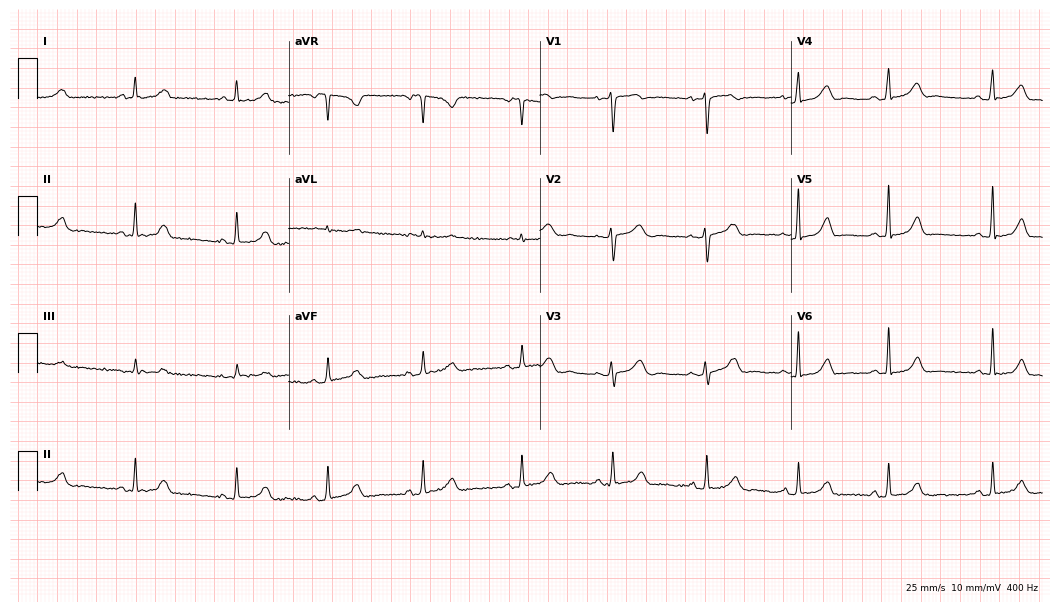
ECG (10.2-second recording at 400 Hz) — a 40-year-old female. Labelled as a normal ECG.